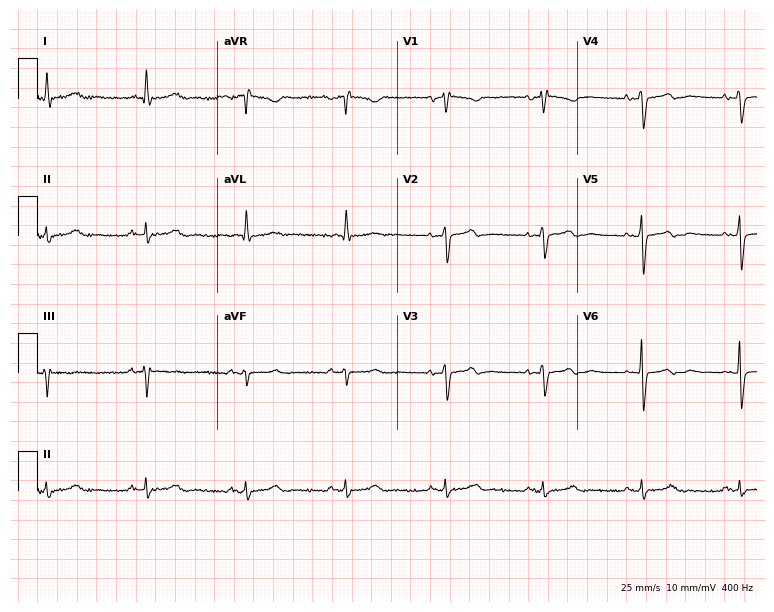
12-lead ECG from a female, 74 years old. Screened for six findings — first-degree AV block, right bundle branch block, left bundle branch block, sinus bradycardia, atrial fibrillation, sinus tachycardia — none is recorded.